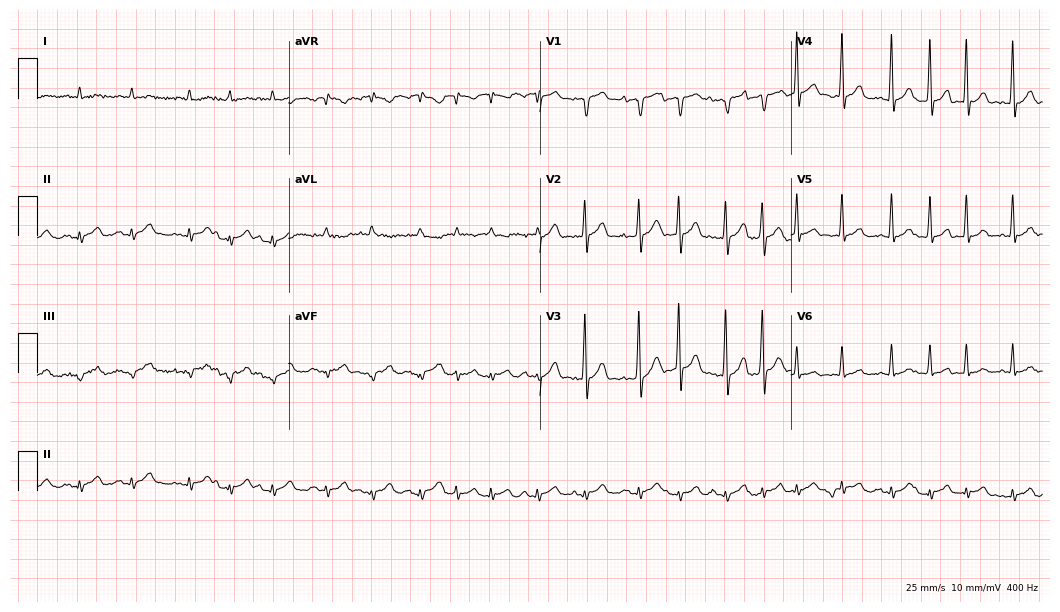
Standard 12-lead ECG recorded from a 78-year-old man. The tracing shows sinus tachycardia (a sinus rate of 100 beats per minute or more).